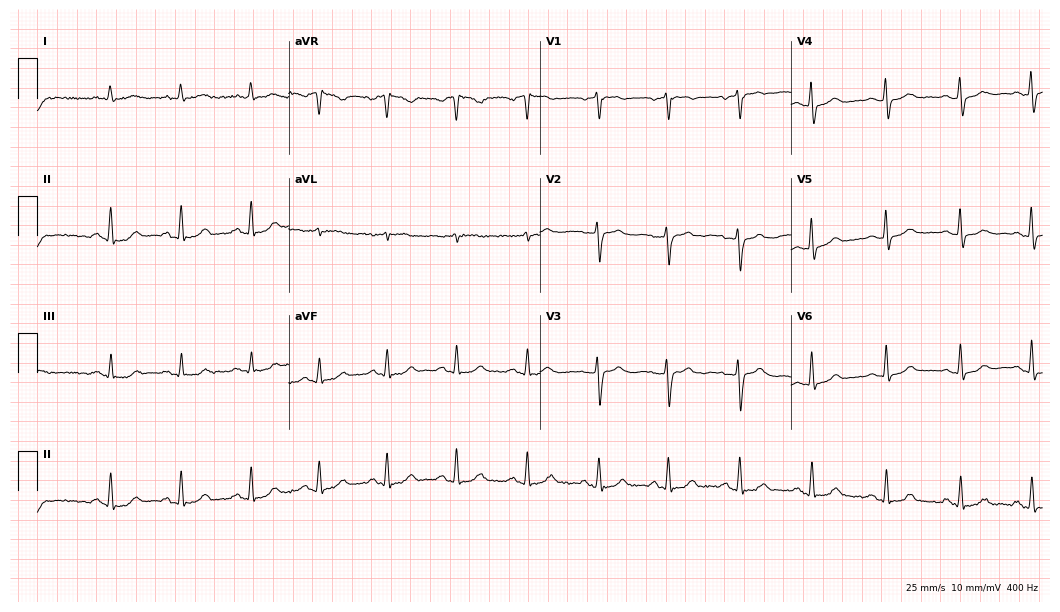
Resting 12-lead electrocardiogram. Patient: a woman, 65 years old. None of these six findings is recorded: first-degree AV block, right bundle branch block, left bundle branch block, sinus bradycardia, atrial fibrillation, sinus tachycardia. Other findings, if any, are not listed.